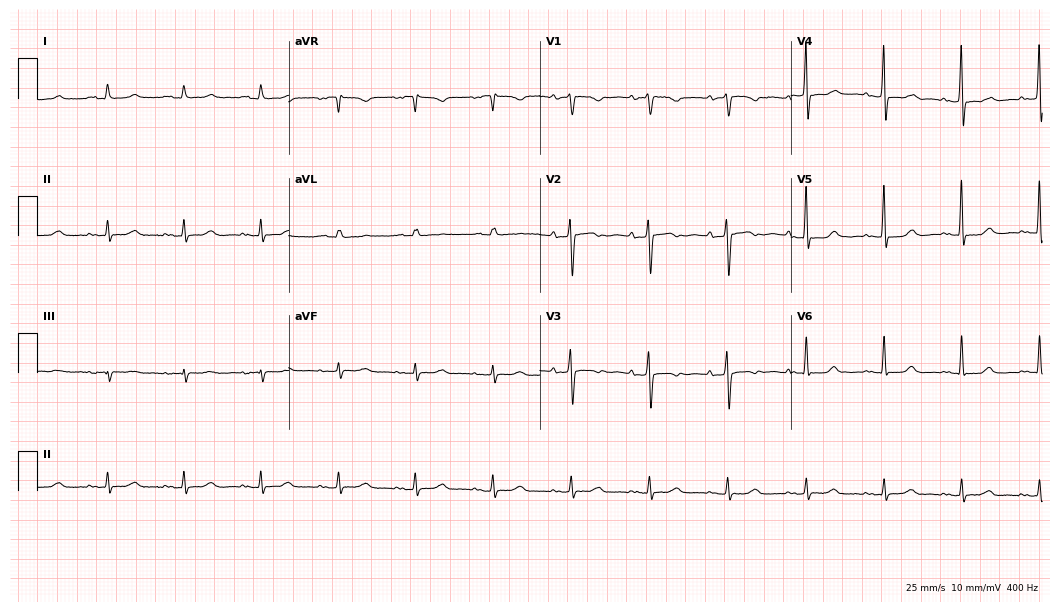
Standard 12-lead ECG recorded from a 64-year-old female. None of these six findings is recorded: first-degree AV block, right bundle branch block (RBBB), left bundle branch block (LBBB), sinus bradycardia, atrial fibrillation (AF), sinus tachycardia.